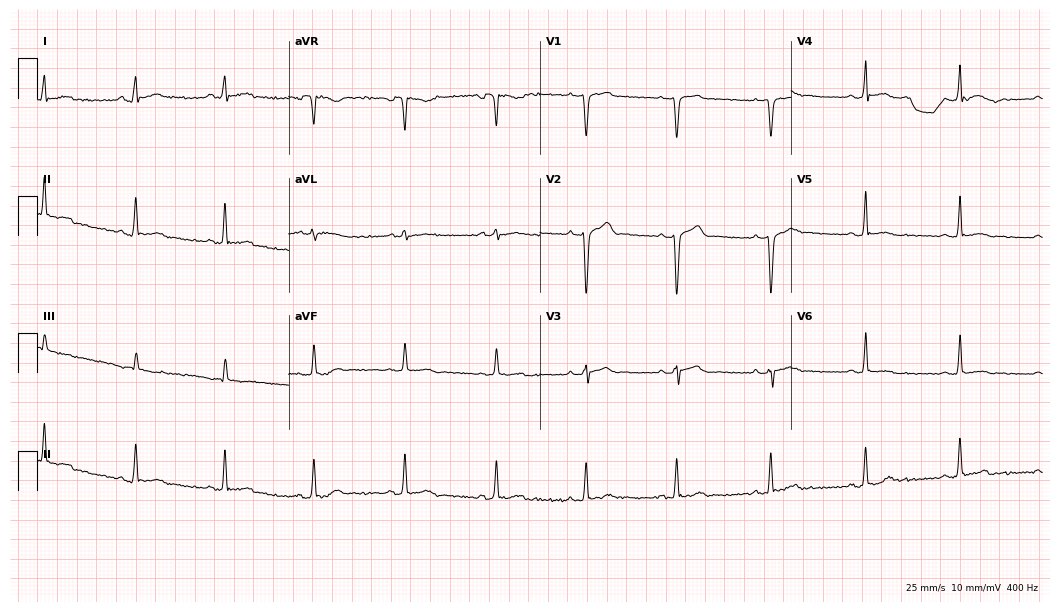
12-lead ECG from a 27-year-old male patient. No first-degree AV block, right bundle branch block, left bundle branch block, sinus bradycardia, atrial fibrillation or sinus tachycardia recorded for this tracing.